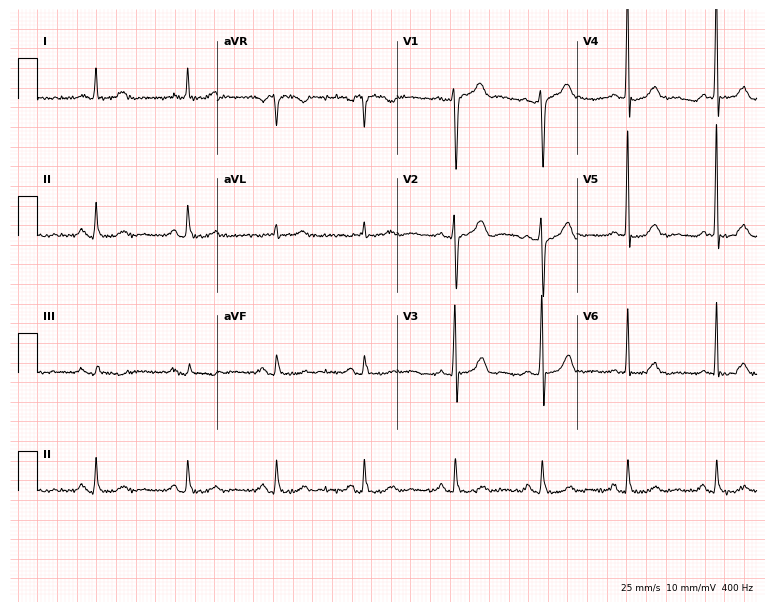
12-lead ECG from a man, 60 years old. Labelled as a normal ECG.